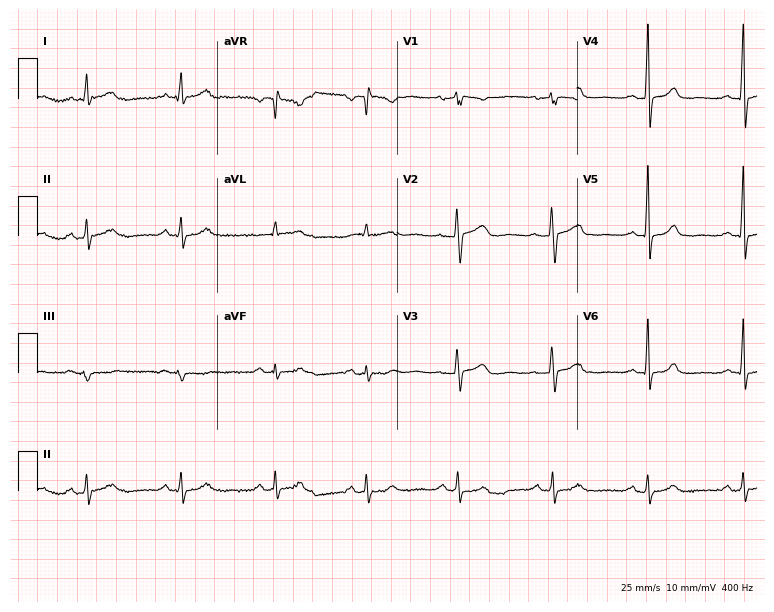
Electrocardiogram, a 47-year-old man. Of the six screened findings (first-degree AV block, right bundle branch block, left bundle branch block, sinus bradycardia, atrial fibrillation, sinus tachycardia), none is recorded.